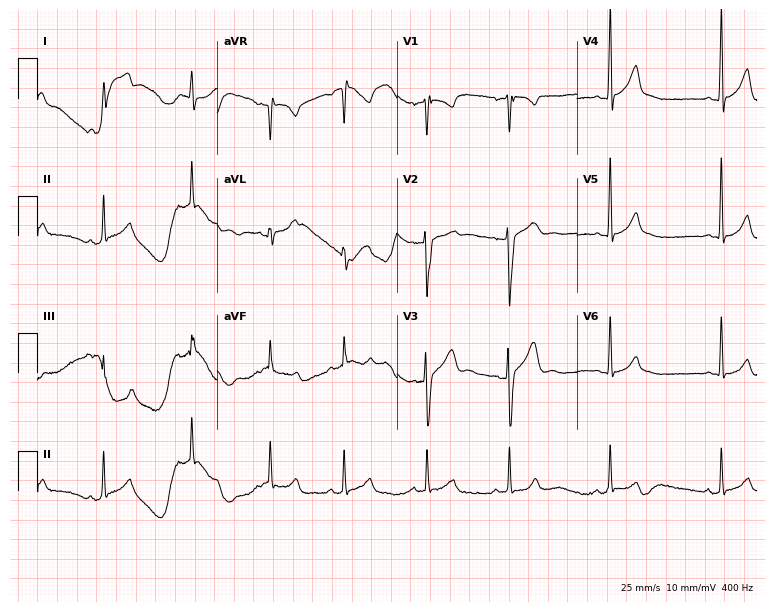
12-lead ECG from a male, 24 years old. No first-degree AV block, right bundle branch block, left bundle branch block, sinus bradycardia, atrial fibrillation or sinus tachycardia recorded for this tracing. Other findings, if any, are not listed.